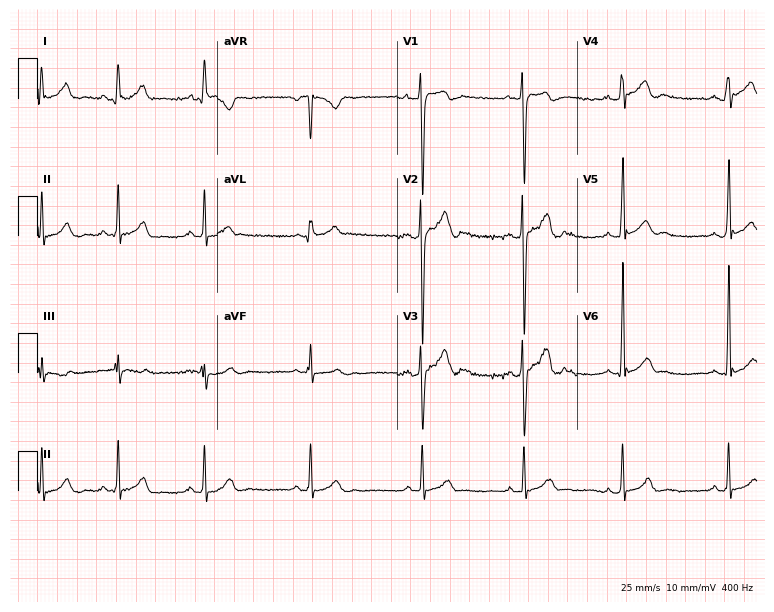
12-lead ECG from a man, 23 years old. Recorded interpretation: within normal limits.